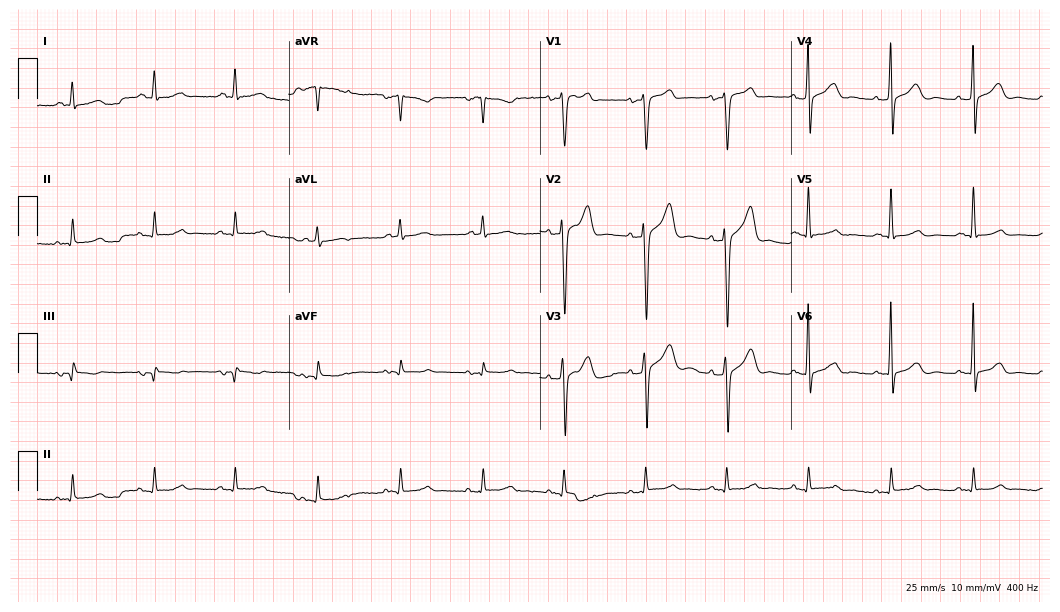
Resting 12-lead electrocardiogram. Patient: a man, 82 years old. Read as a normal ECG.